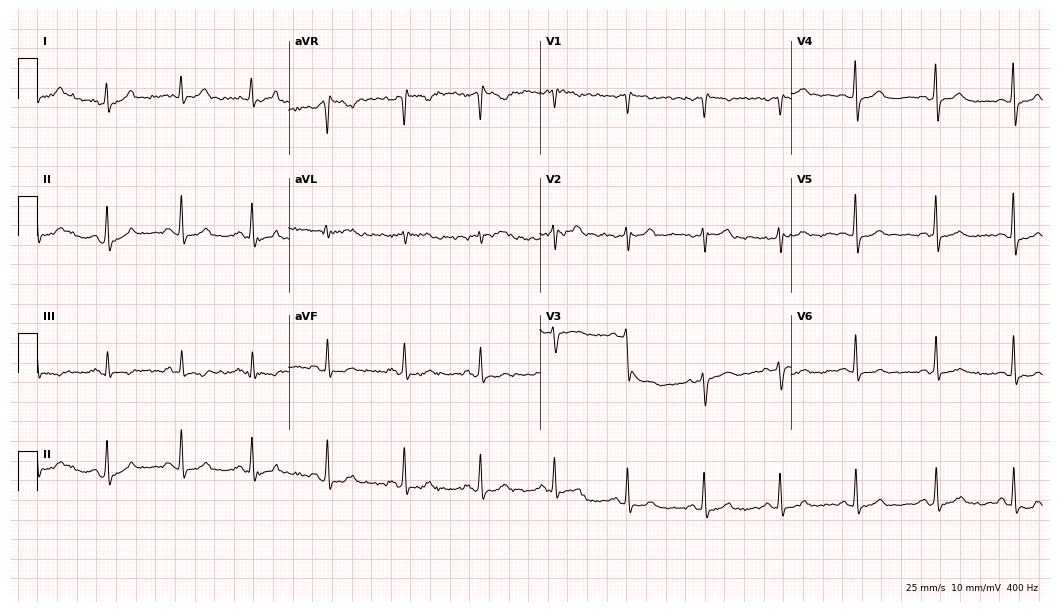
Standard 12-lead ECG recorded from a male patient, 76 years old (10.2-second recording at 400 Hz). Read as a normal ECG.